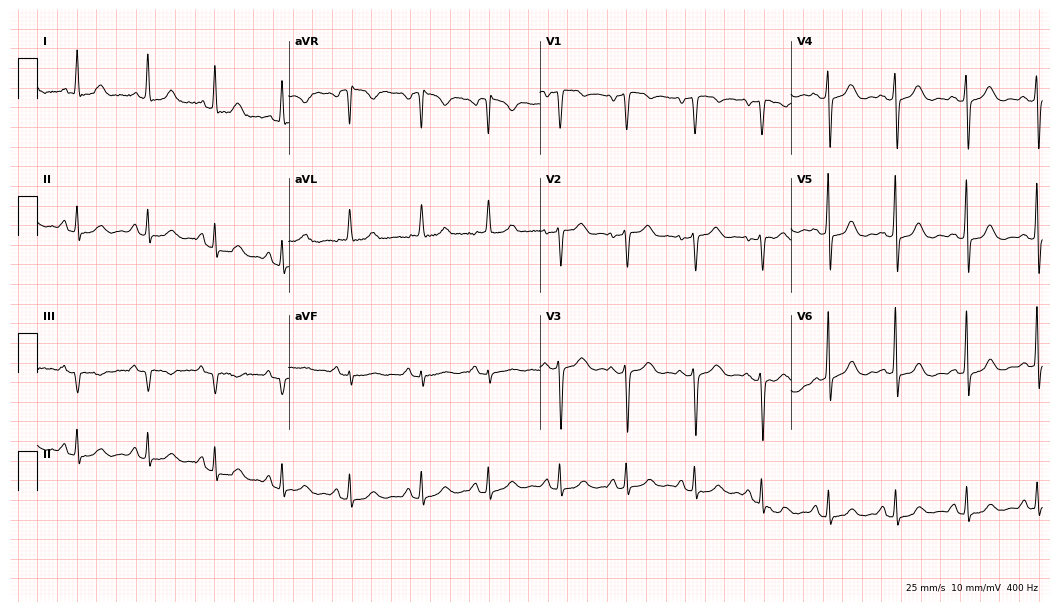
Standard 12-lead ECG recorded from a female, 69 years old. None of these six findings is recorded: first-degree AV block, right bundle branch block, left bundle branch block, sinus bradycardia, atrial fibrillation, sinus tachycardia.